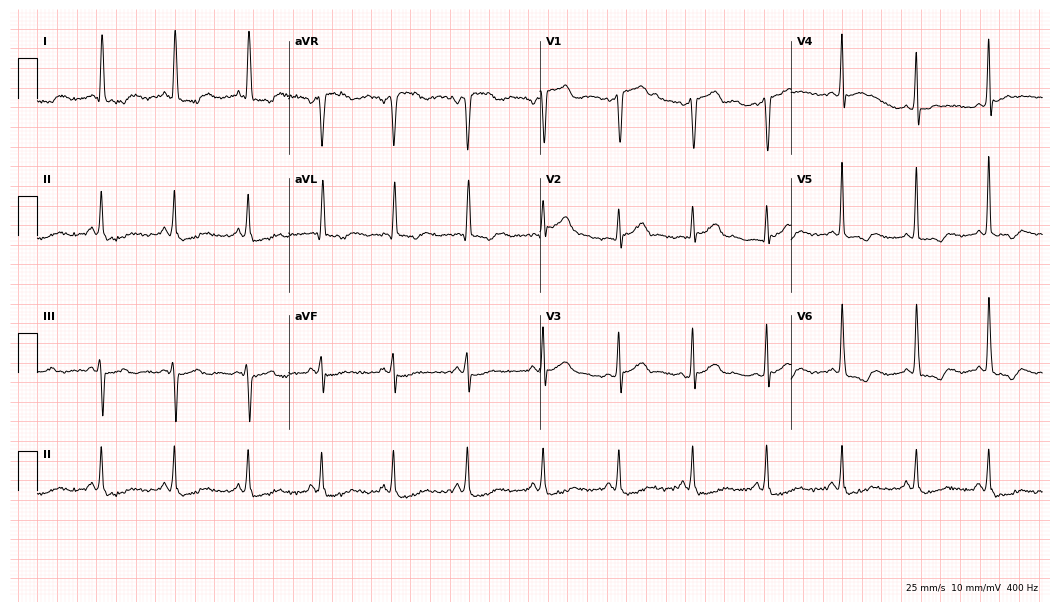
Electrocardiogram (10.2-second recording at 400 Hz), a man, 52 years old. Of the six screened findings (first-degree AV block, right bundle branch block (RBBB), left bundle branch block (LBBB), sinus bradycardia, atrial fibrillation (AF), sinus tachycardia), none is recorded.